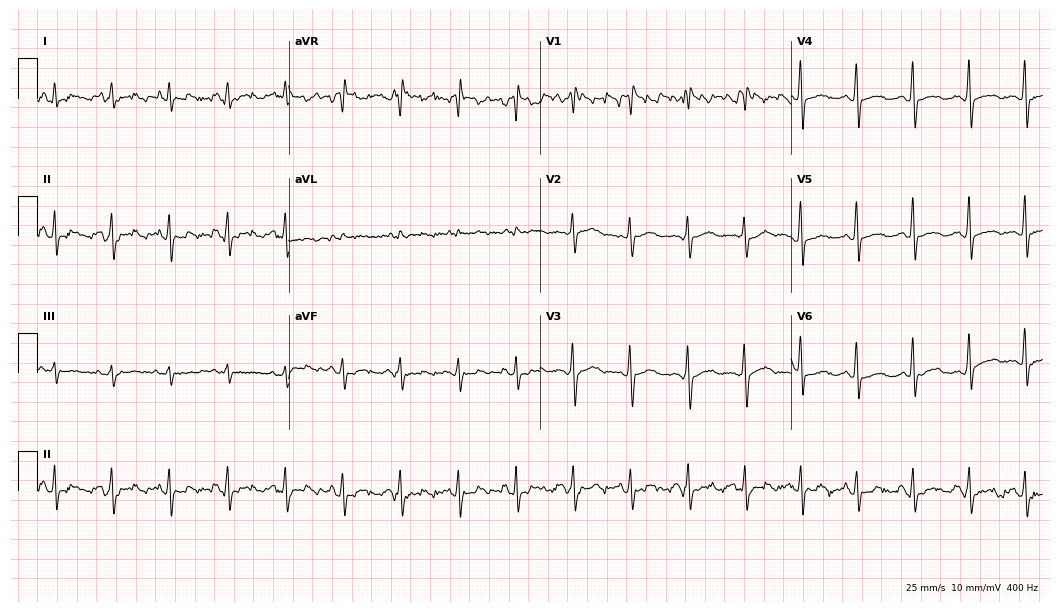
Standard 12-lead ECG recorded from a 31-year-old woman (10.2-second recording at 400 Hz). None of these six findings is recorded: first-degree AV block, right bundle branch block, left bundle branch block, sinus bradycardia, atrial fibrillation, sinus tachycardia.